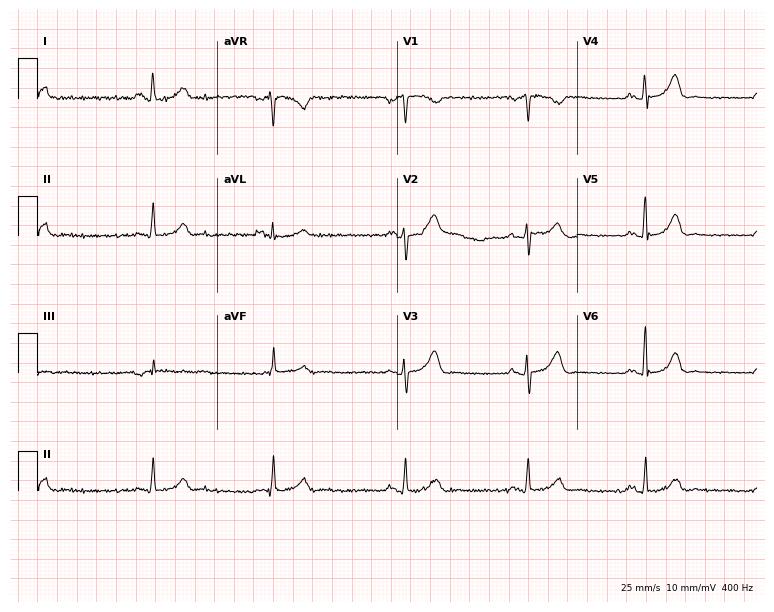
ECG (7.3-second recording at 400 Hz) — a female, 49 years old. Findings include sinus bradycardia (a sinus rate of 50 beats per minute or less).